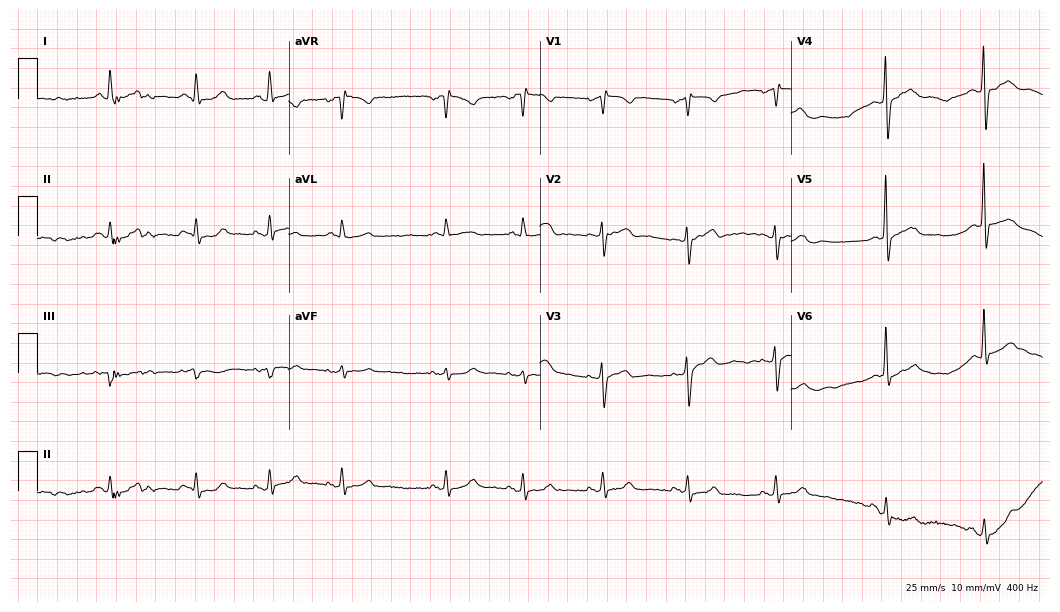
ECG (10.2-second recording at 400 Hz) — a woman, 69 years old. Screened for six findings — first-degree AV block, right bundle branch block, left bundle branch block, sinus bradycardia, atrial fibrillation, sinus tachycardia — none is recorded. Findings outside these six are not listed.